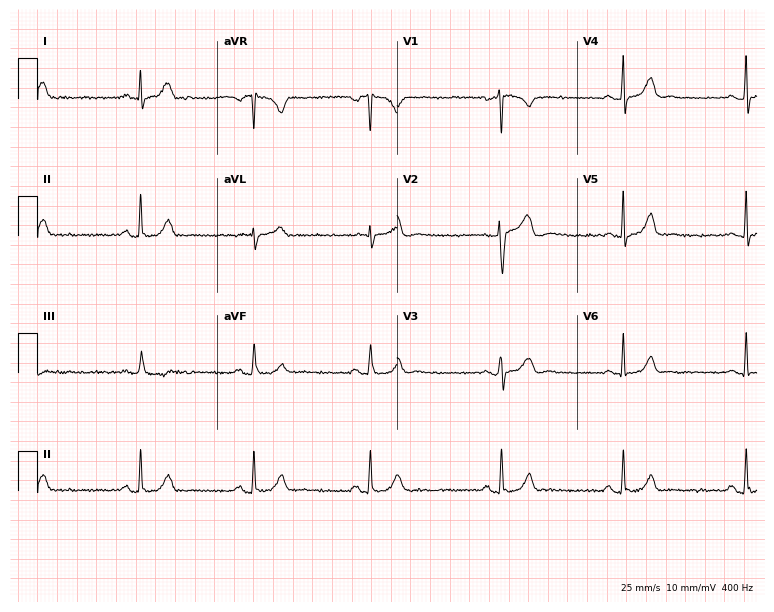
12-lead ECG from a 39-year-old female patient. Findings include sinus bradycardia (a sinus rate of 50 beats per minute or less).